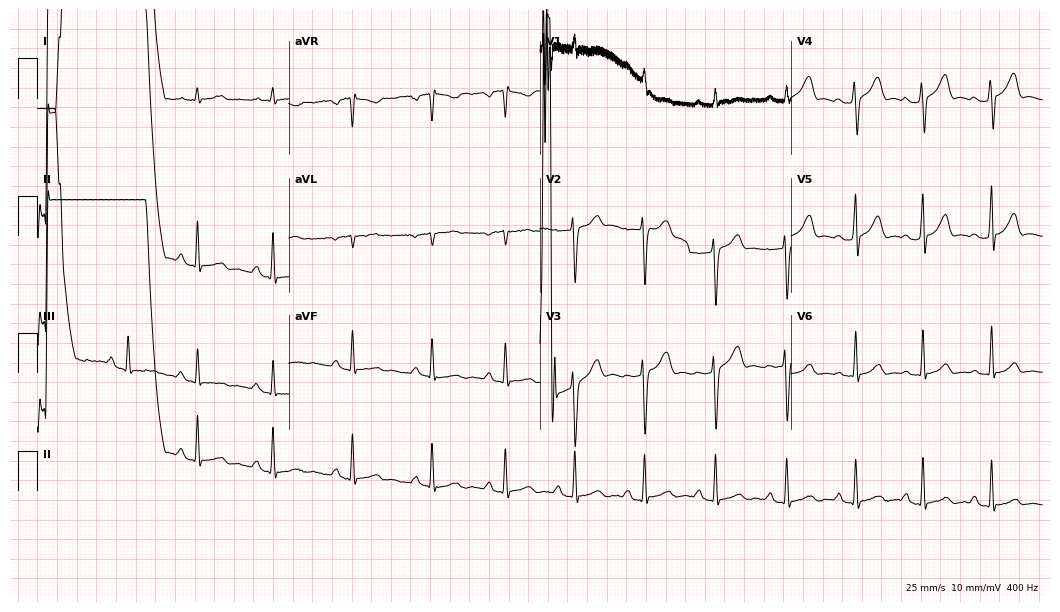
Resting 12-lead electrocardiogram. Patient: a male, 26 years old. None of these six findings is recorded: first-degree AV block, right bundle branch block, left bundle branch block, sinus bradycardia, atrial fibrillation, sinus tachycardia.